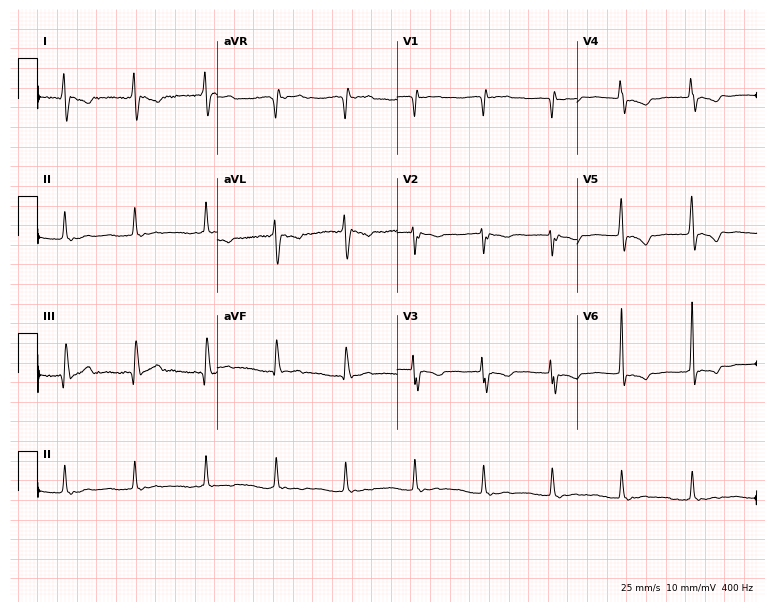
Standard 12-lead ECG recorded from a 22-year-old woman. None of these six findings is recorded: first-degree AV block, right bundle branch block, left bundle branch block, sinus bradycardia, atrial fibrillation, sinus tachycardia.